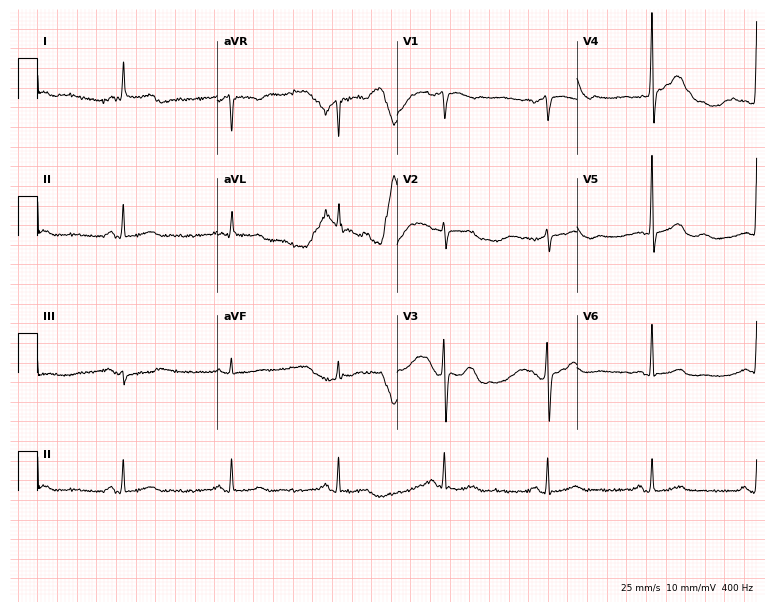
Electrocardiogram (7.3-second recording at 400 Hz), a female, 75 years old. Of the six screened findings (first-degree AV block, right bundle branch block, left bundle branch block, sinus bradycardia, atrial fibrillation, sinus tachycardia), none is recorded.